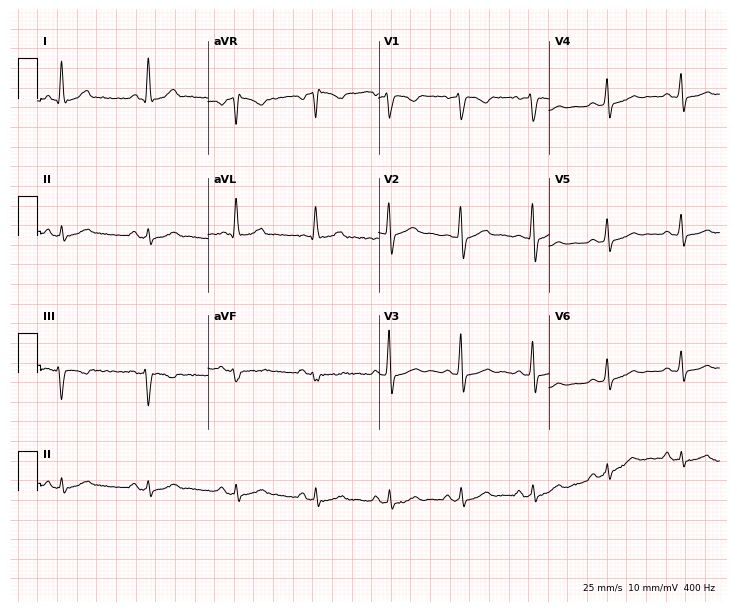
12-lead ECG from a 38-year-old female patient. No first-degree AV block, right bundle branch block, left bundle branch block, sinus bradycardia, atrial fibrillation or sinus tachycardia recorded for this tracing. Other findings, if any, are not listed.